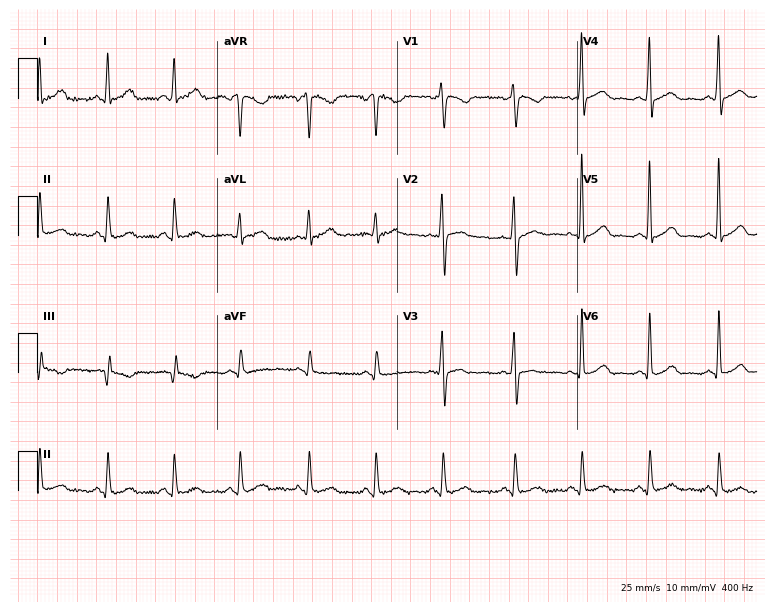
12-lead ECG from a female patient, 32 years old. Labelled as a normal ECG.